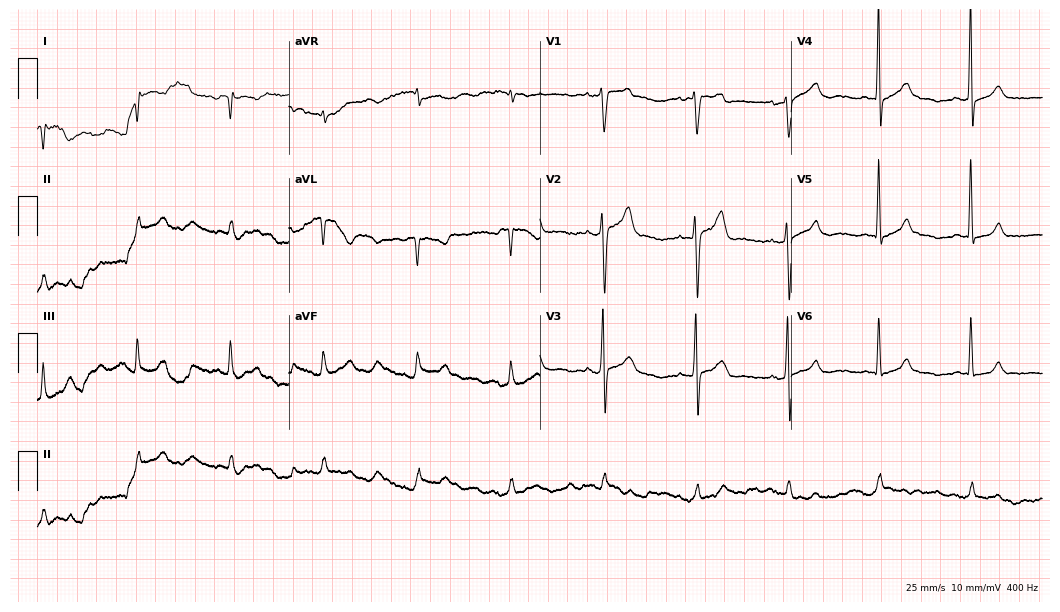
ECG (10.2-second recording at 400 Hz) — a 58-year-old man. Screened for six findings — first-degree AV block, right bundle branch block, left bundle branch block, sinus bradycardia, atrial fibrillation, sinus tachycardia — none is recorded.